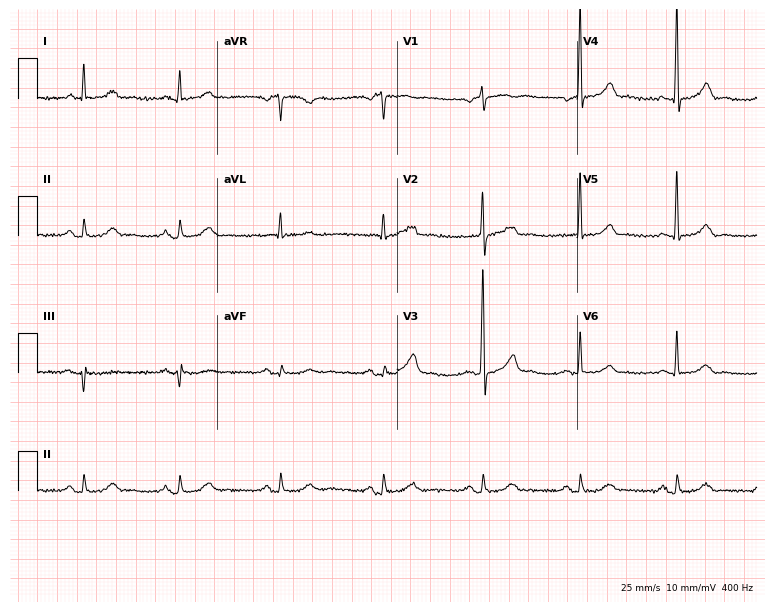
Electrocardiogram, a 60-year-old male. Overall reading on record: normal ECG.